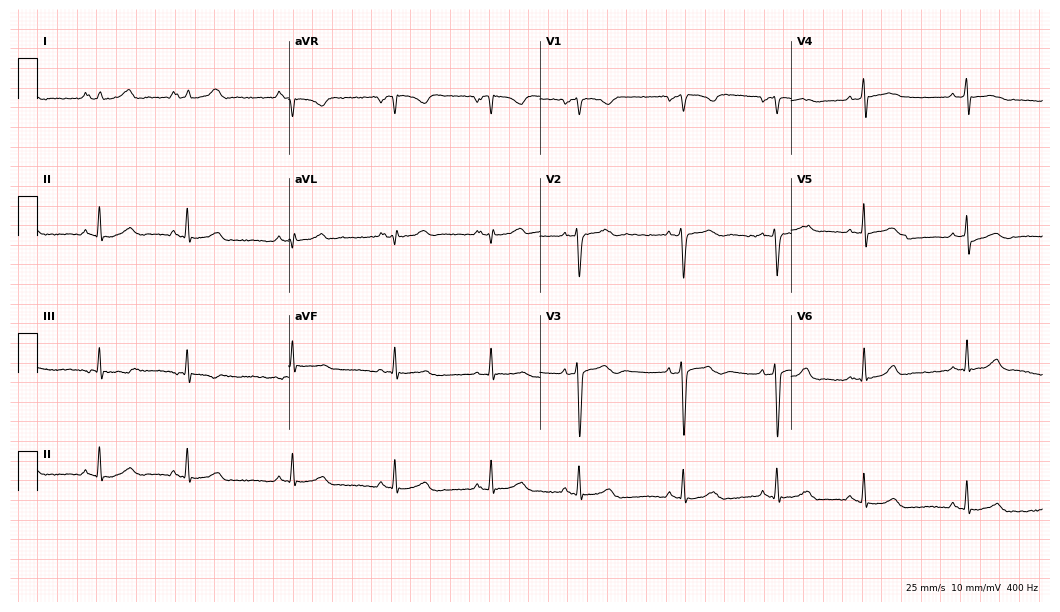
Standard 12-lead ECG recorded from a female, 17 years old (10.2-second recording at 400 Hz). None of these six findings is recorded: first-degree AV block, right bundle branch block (RBBB), left bundle branch block (LBBB), sinus bradycardia, atrial fibrillation (AF), sinus tachycardia.